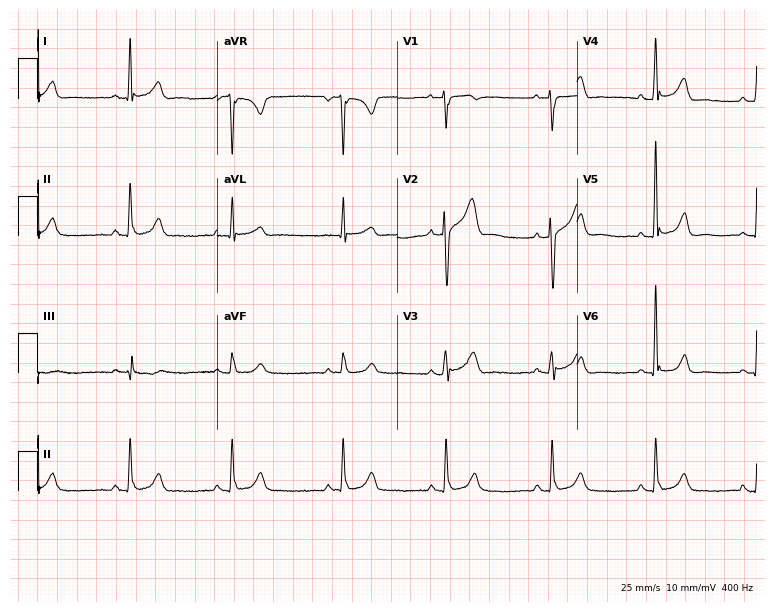
12-lead ECG from a 64-year-old male patient. Labelled as a normal ECG.